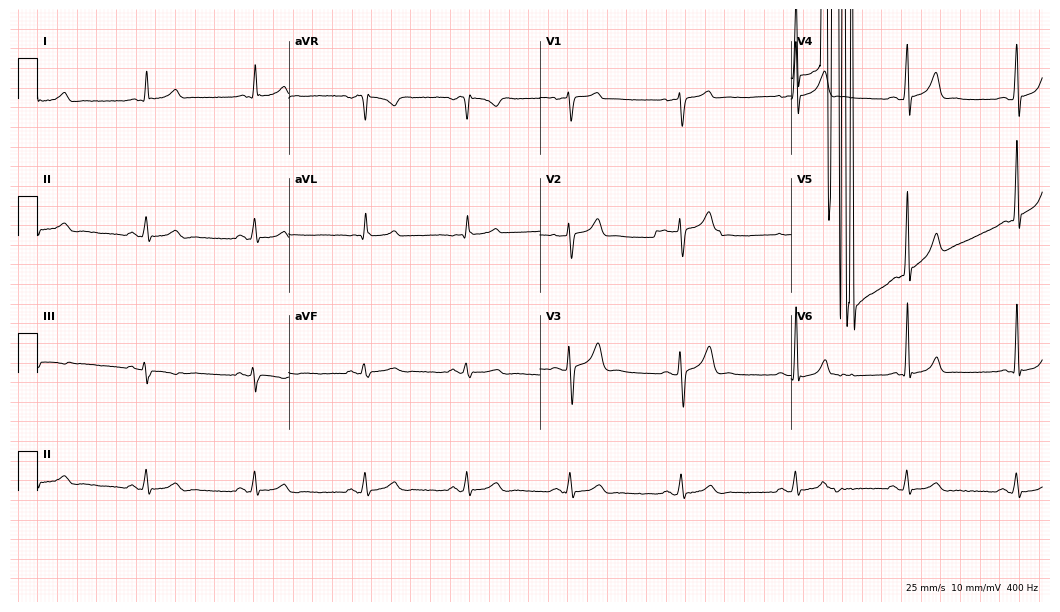
Standard 12-lead ECG recorded from a male, 40 years old. Read as a normal ECG.